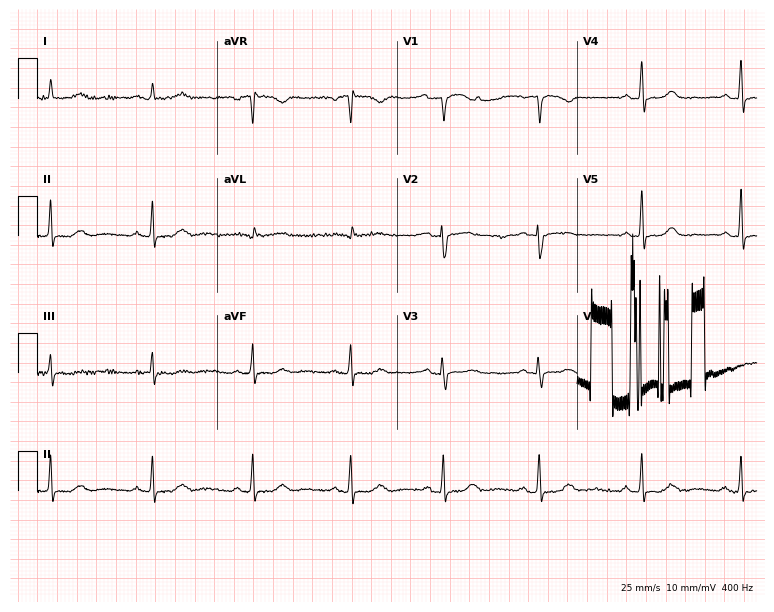
Resting 12-lead electrocardiogram (7.3-second recording at 400 Hz). Patient: a 47-year-old female. None of these six findings is recorded: first-degree AV block, right bundle branch block, left bundle branch block, sinus bradycardia, atrial fibrillation, sinus tachycardia.